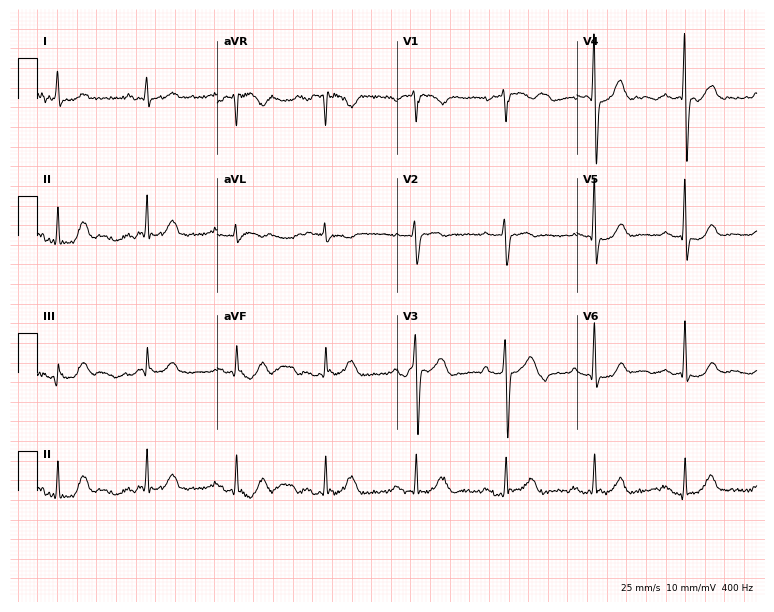
12-lead ECG from a 68-year-old male patient (7.3-second recording at 400 Hz). Shows first-degree AV block.